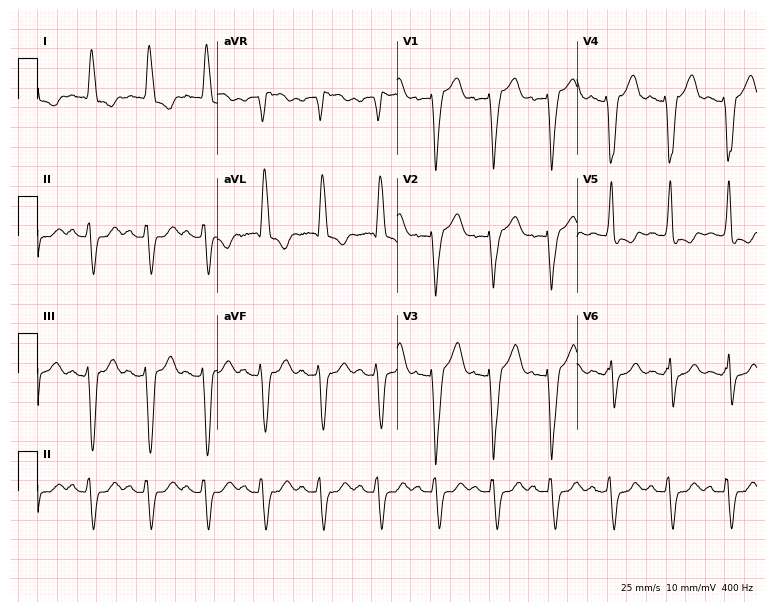
Electrocardiogram (7.3-second recording at 400 Hz), an 83-year-old woman. Interpretation includes left bundle branch block.